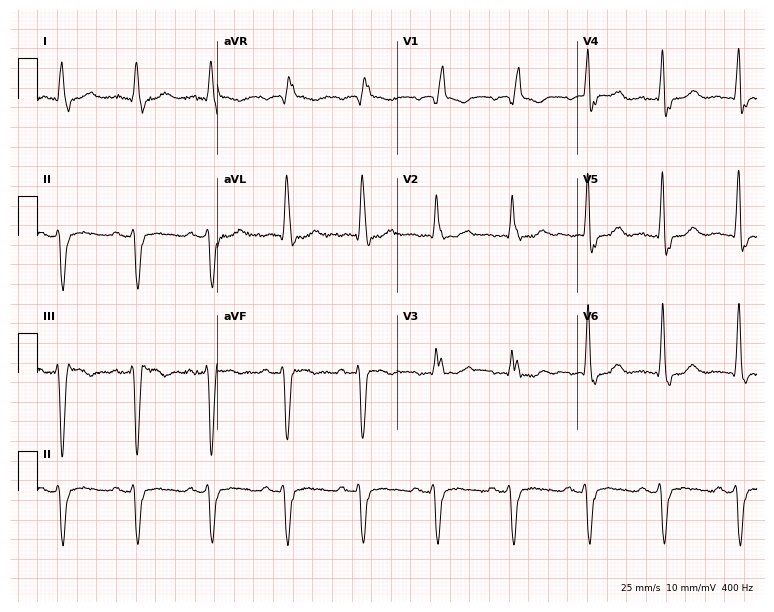
12-lead ECG from a woman, 77 years old (7.3-second recording at 400 Hz). Shows right bundle branch block.